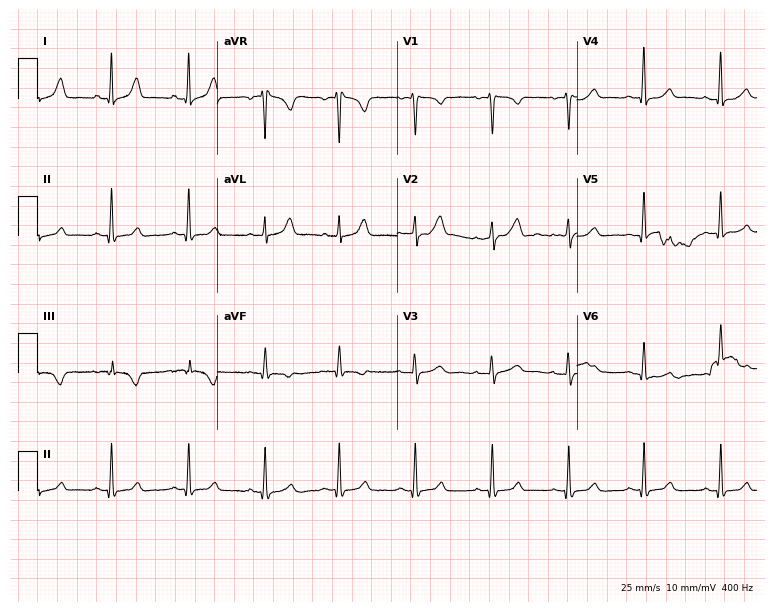
12-lead ECG from a woman, 40 years old (7.3-second recording at 400 Hz). No first-degree AV block, right bundle branch block, left bundle branch block, sinus bradycardia, atrial fibrillation or sinus tachycardia recorded for this tracing.